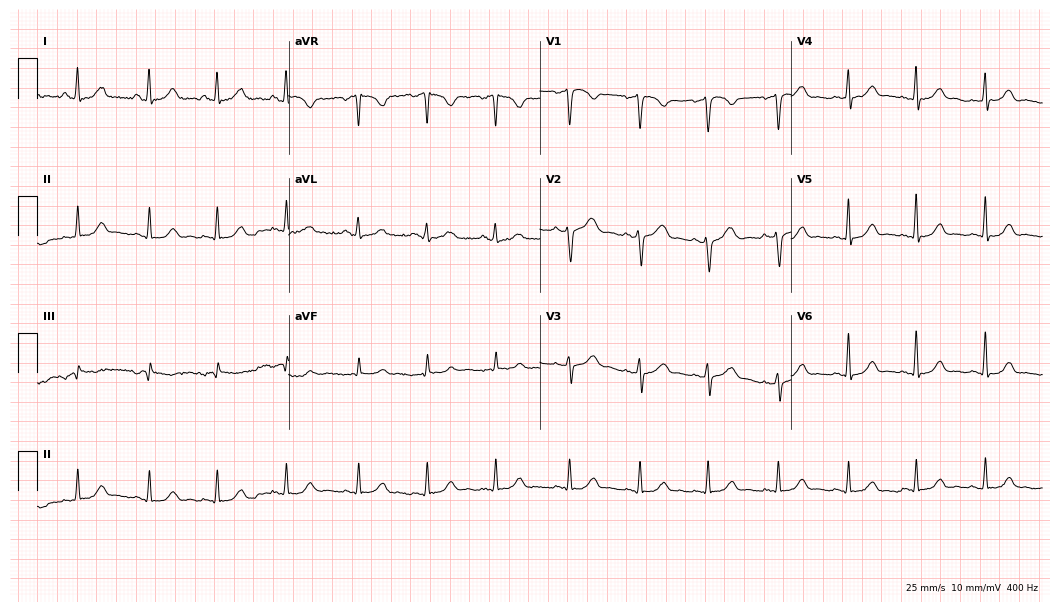
Electrocardiogram, a 37-year-old female patient. Overall reading on record: normal ECG.